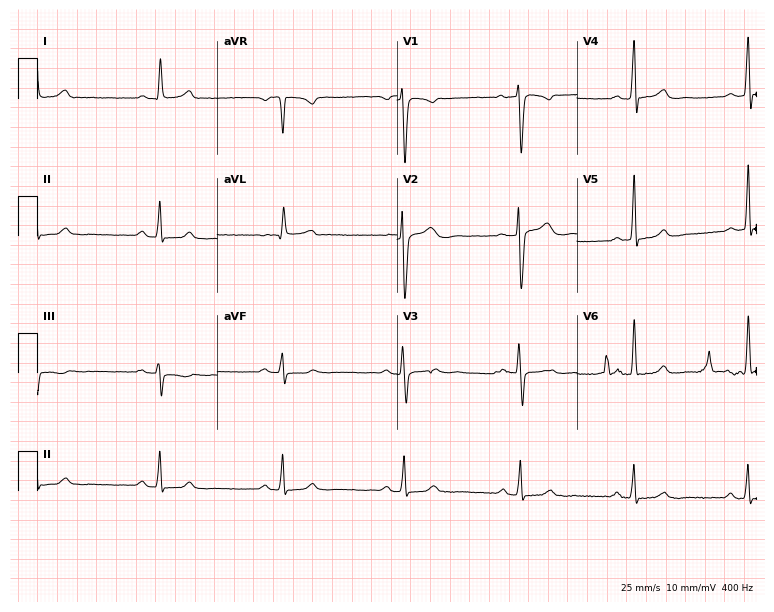
Standard 12-lead ECG recorded from a 50-year-old female (7.3-second recording at 400 Hz). None of these six findings is recorded: first-degree AV block, right bundle branch block, left bundle branch block, sinus bradycardia, atrial fibrillation, sinus tachycardia.